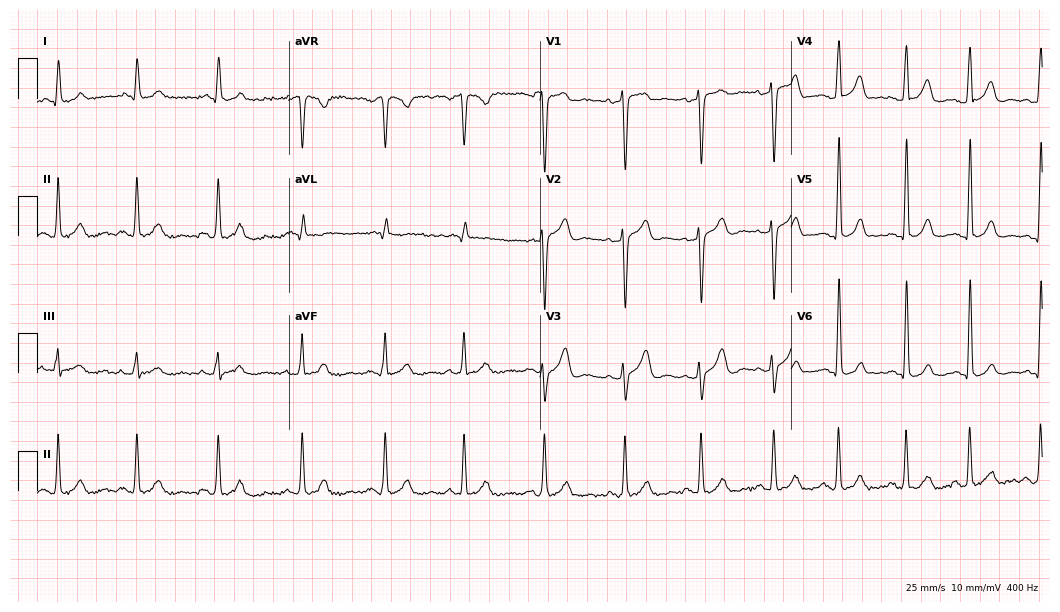
Standard 12-lead ECG recorded from a 30-year-old male. None of these six findings is recorded: first-degree AV block, right bundle branch block (RBBB), left bundle branch block (LBBB), sinus bradycardia, atrial fibrillation (AF), sinus tachycardia.